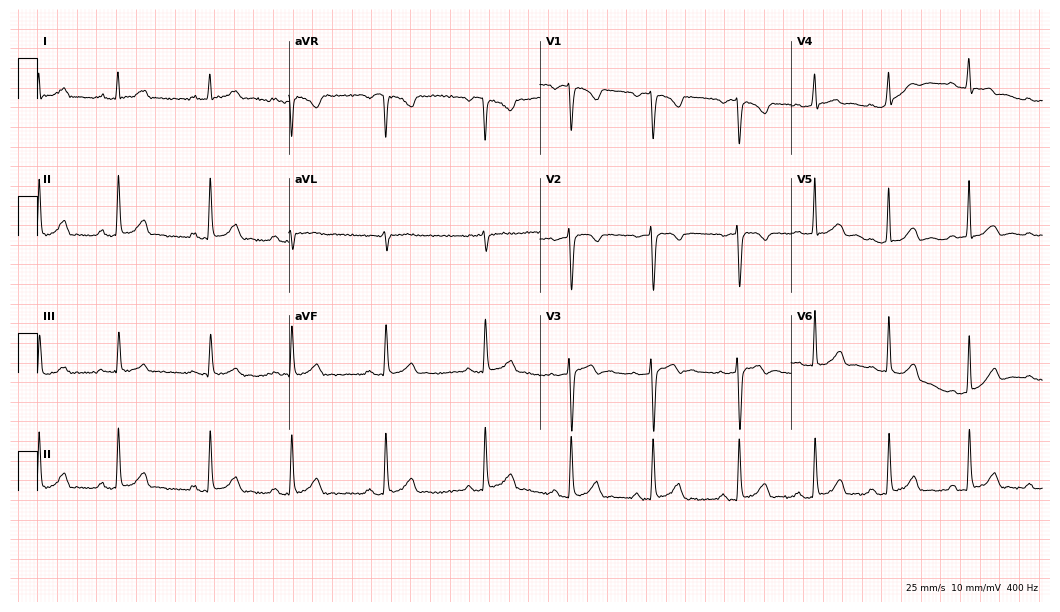
12-lead ECG (10.2-second recording at 400 Hz) from a 26-year-old female. Labelled as a normal ECG.